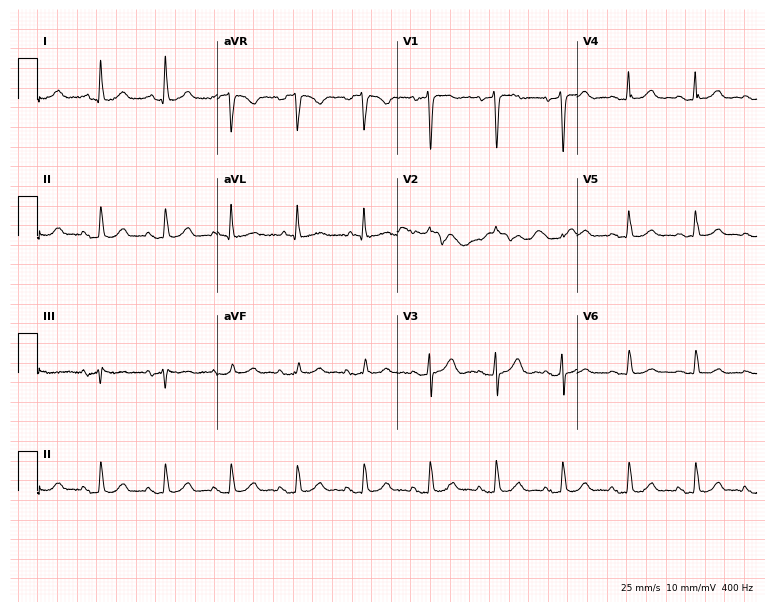
ECG (7.3-second recording at 400 Hz) — a 66-year-old man. Screened for six findings — first-degree AV block, right bundle branch block, left bundle branch block, sinus bradycardia, atrial fibrillation, sinus tachycardia — none is recorded. Findings outside these six are not listed.